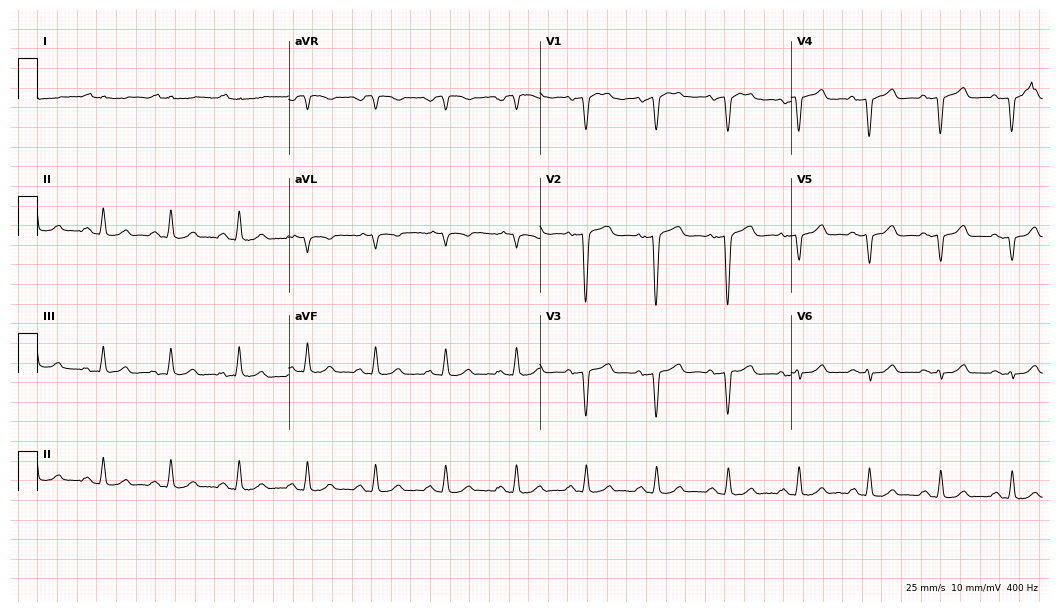
Standard 12-lead ECG recorded from a 67-year-old female patient. None of these six findings is recorded: first-degree AV block, right bundle branch block (RBBB), left bundle branch block (LBBB), sinus bradycardia, atrial fibrillation (AF), sinus tachycardia. Findings outside these six are not listed.